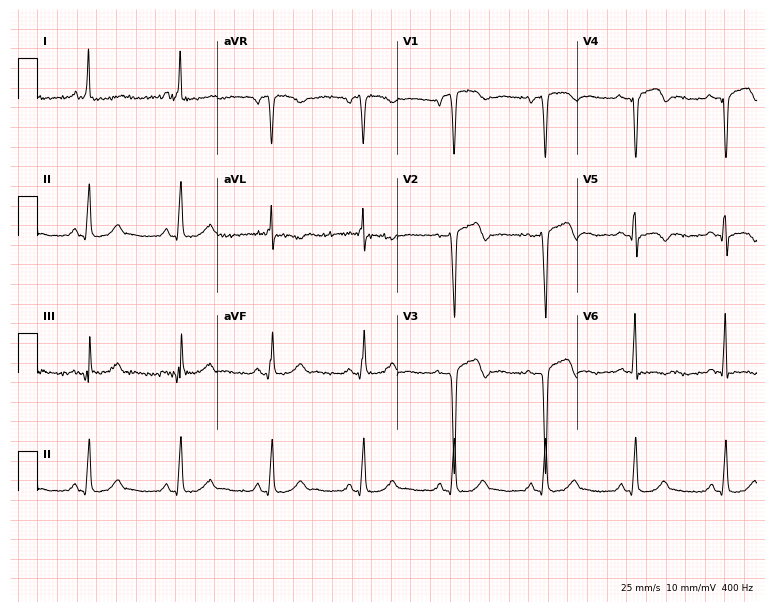
12-lead ECG from a 56-year-old male. Screened for six findings — first-degree AV block, right bundle branch block, left bundle branch block, sinus bradycardia, atrial fibrillation, sinus tachycardia — none is recorded.